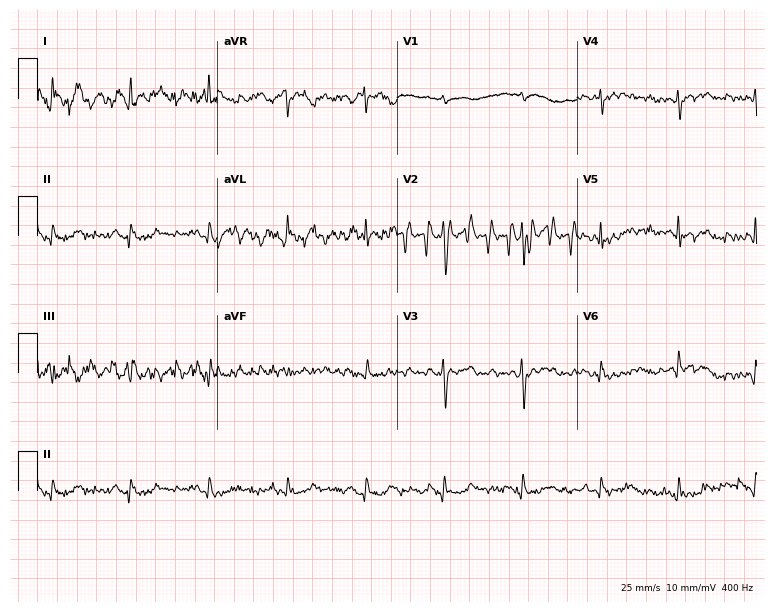
ECG — a female patient, 74 years old. Screened for six findings — first-degree AV block, right bundle branch block, left bundle branch block, sinus bradycardia, atrial fibrillation, sinus tachycardia — none is recorded. Only these six findings were labelled.